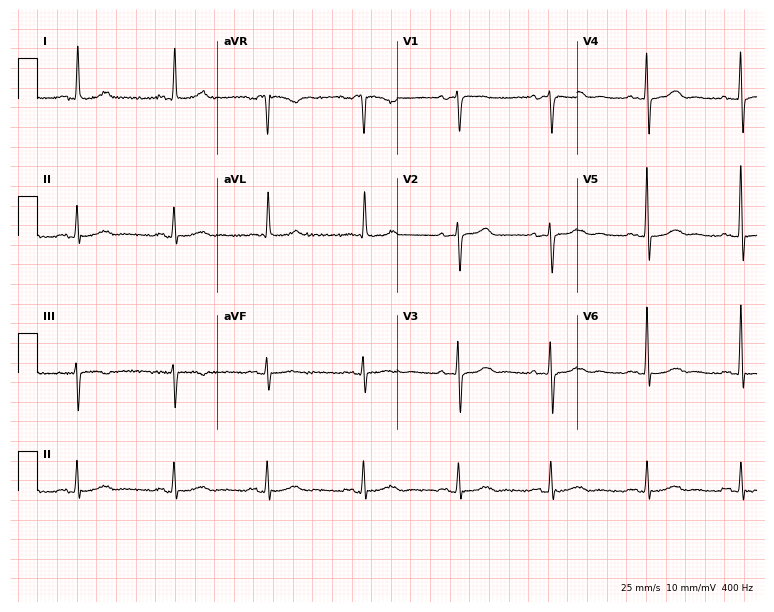
ECG — a female patient, 66 years old. Labelled as a normal ECG.